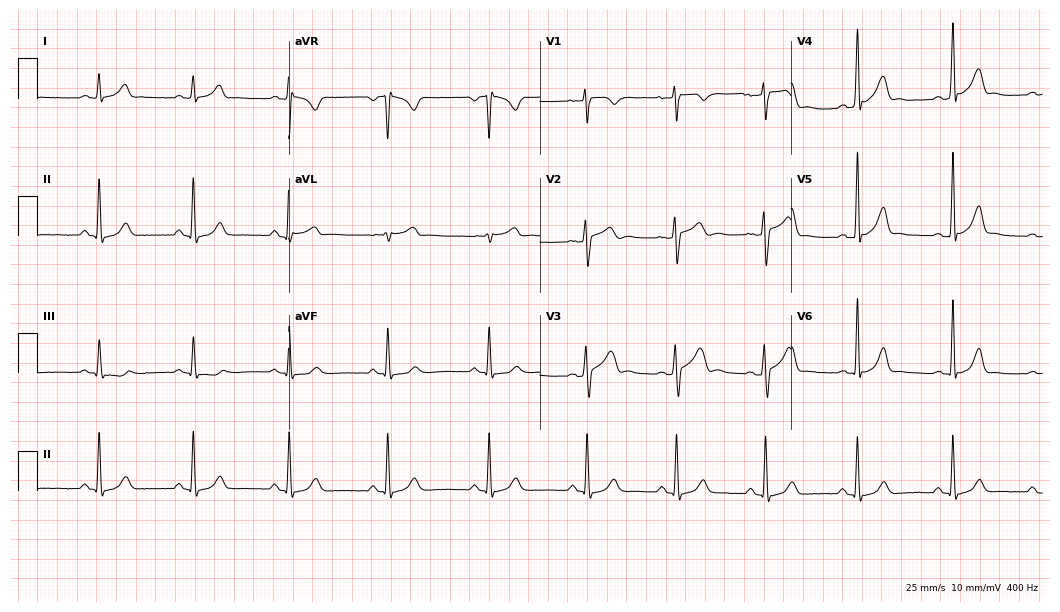
ECG (10.2-second recording at 400 Hz) — a 33-year-old male. Labelled as a normal ECG.